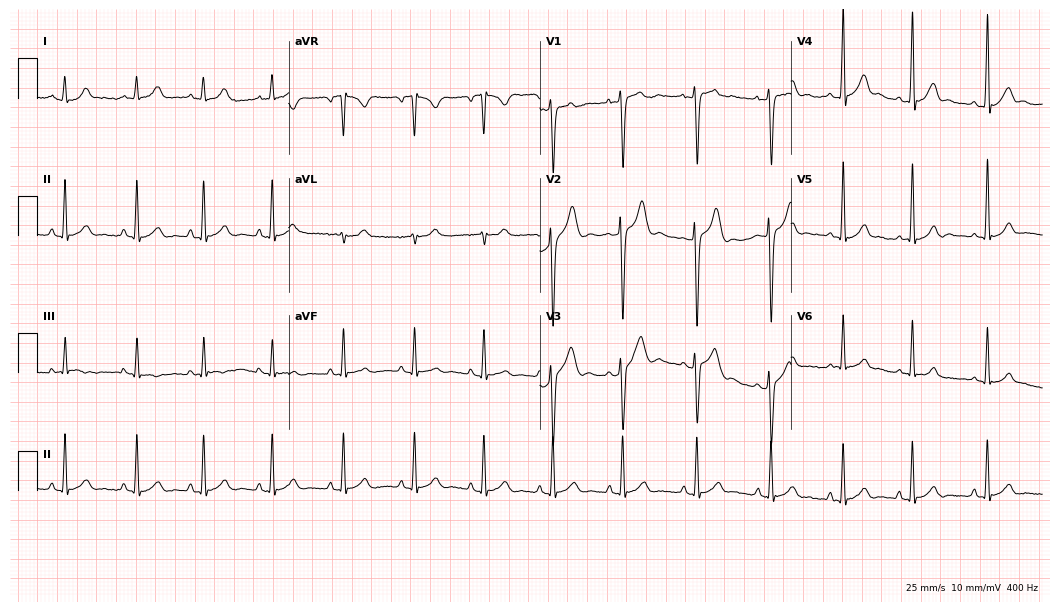
Electrocardiogram, an 18-year-old male patient. Overall reading on record: normal ECG.